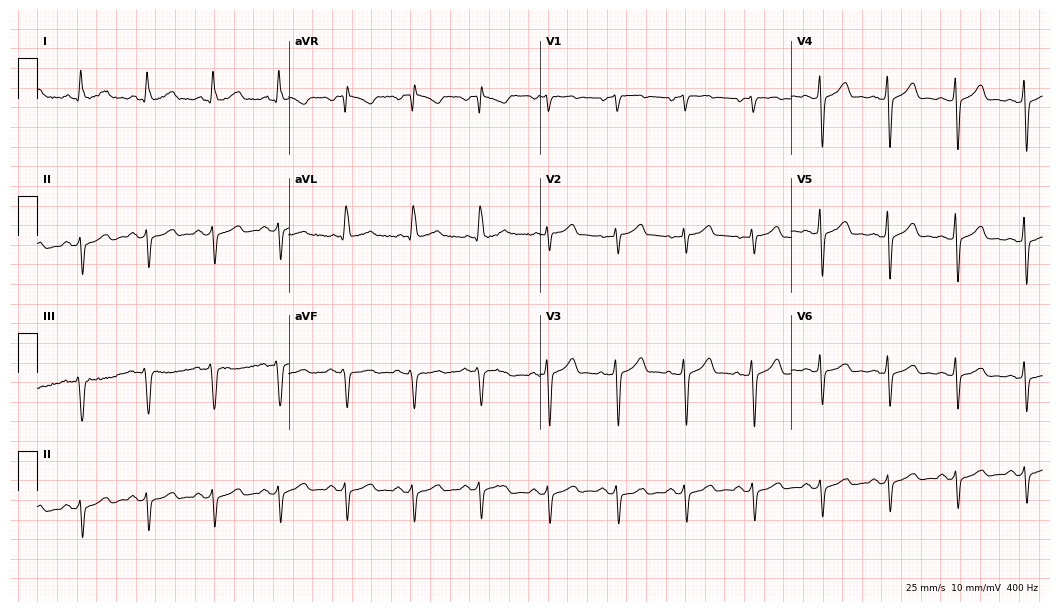
Resting 12-lead electrocardiogram (10.2-second recording at 400 Hz). Patient: a 65-year-old female. None of these six findings is recorded: first-degree AV block, right bundle branch block, left bundle branch block, sinus bradycardia, atrial fibrillation, sinus tachycardia. Only these six findings were labelled.